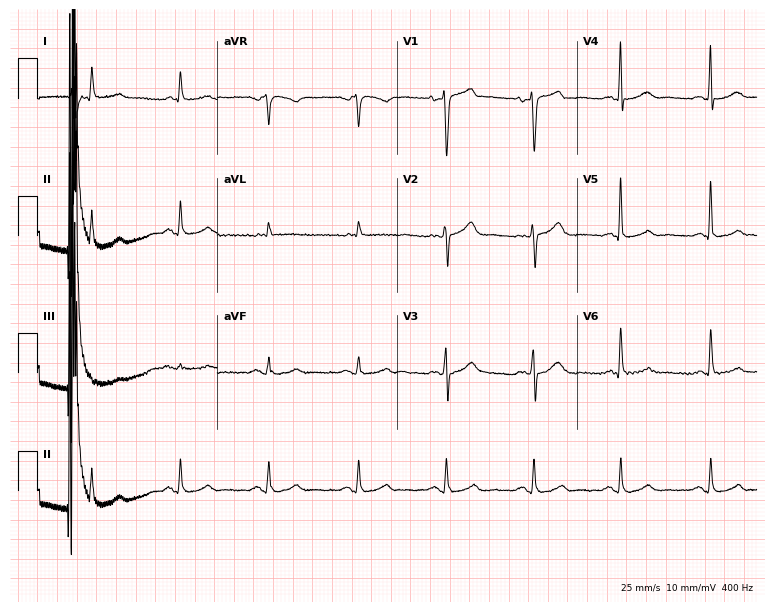
Standard 12-lead ECG recorded from a 63-year-old male patient (7.3-second recording at 400 Hz). None of these six findings is recorded: first-degree AV block, right bundle branch block, left bundle branch block, sinus bradycardia, atrial fibrillation, sinus tachycardia. Only these six findings were labelled.